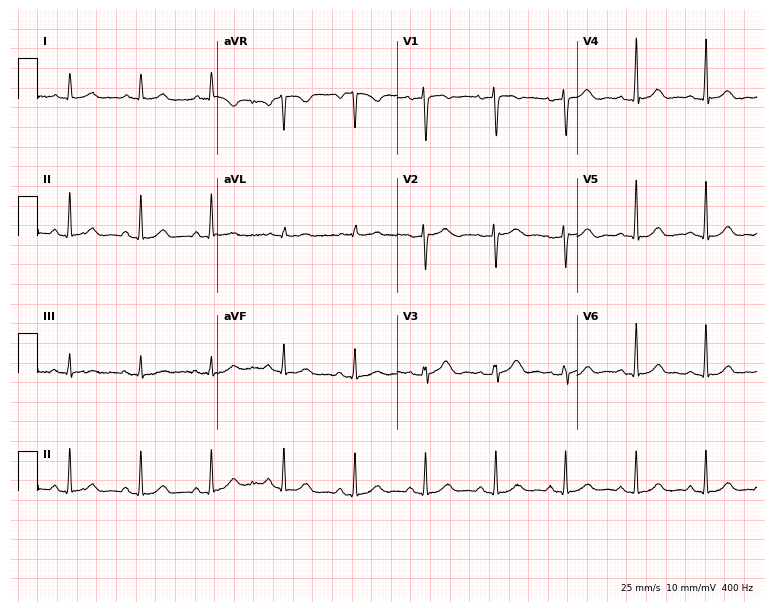
Standard 12-lead ECG recorded from a woman, 44 years old. Read as a normal ECG.